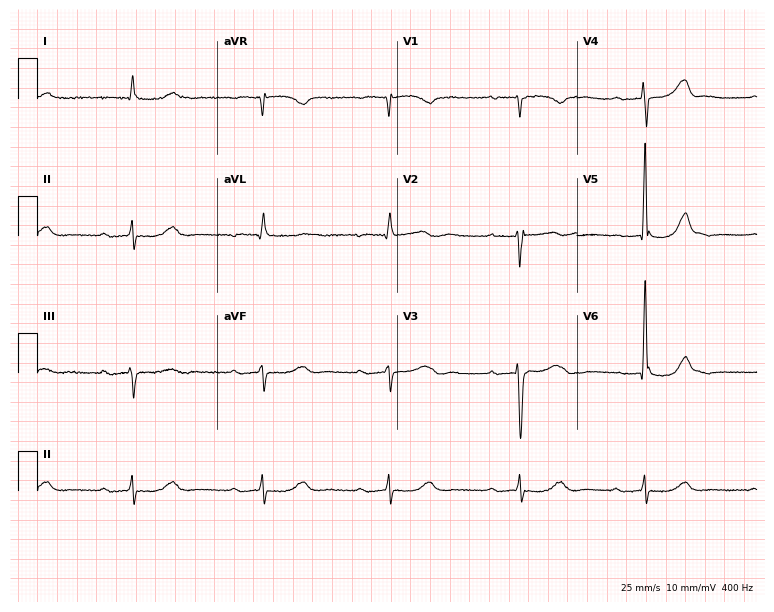
Standard 12-lead ECG recorded from an 81-year-old male (7.3-second recording at 400 Hz). The tracing shows first-degree AV block, sinus bradycardia (a sinus rate of 50 beats per minute or less).